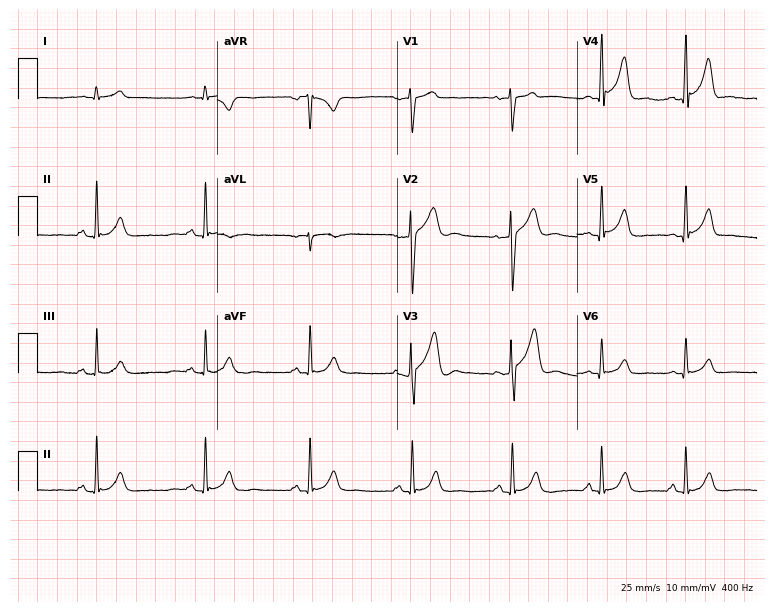
Electrocardiogram (7.3-second recording at 400 Hz), a male patient, 26 years old. Overall reading on record: normal ECG.